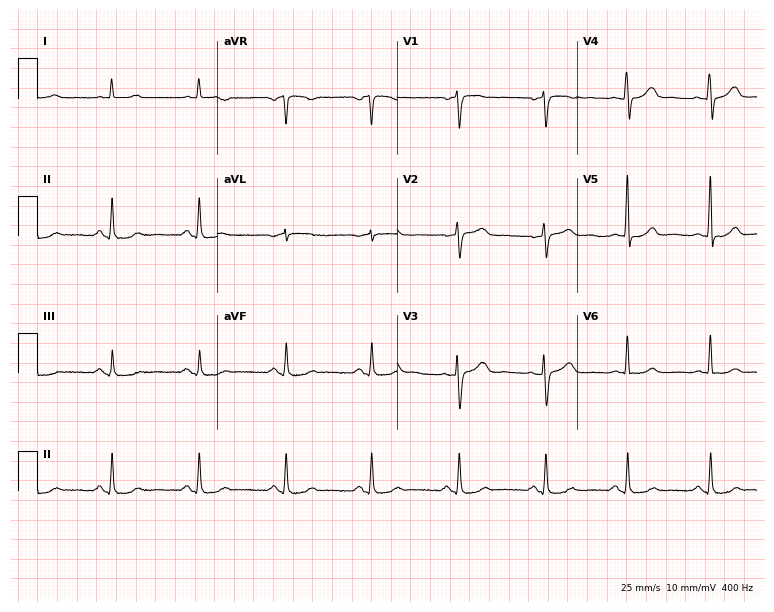
Standard 12-lead ECG recorded from a 50-year-old woman (7.3-second recording at 400 Hz). Read as a normal ECG.